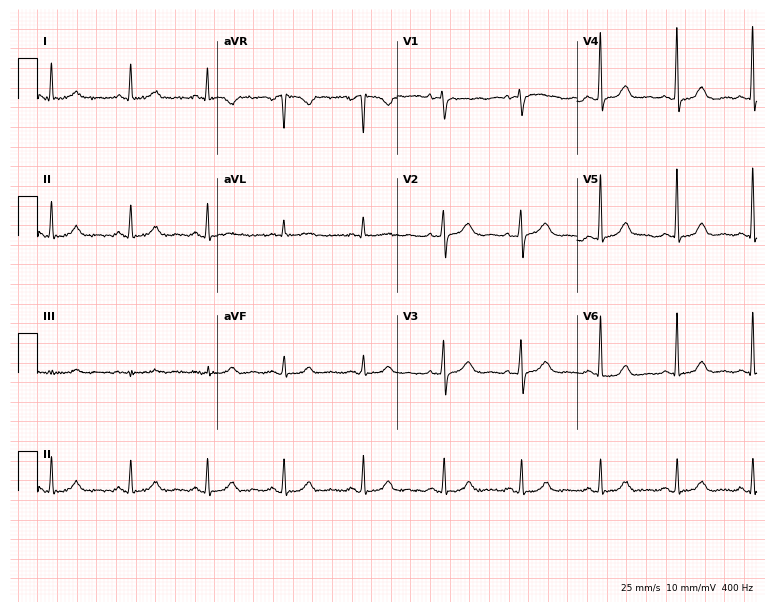
Resting 12-lead electrocardiogram. Patient: a female, 59 years old. Read as a normal ECG.